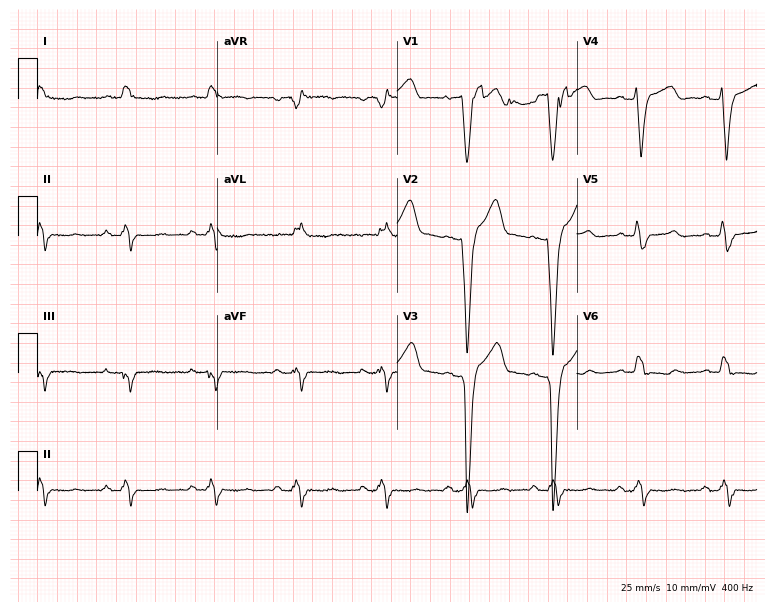
12-lead ECG from a man, 54 years old. Screened for six findings — first-degree AV block, right bundle branch block, left bundle branch block, sinus bradycardia, atrial fibrillation, sinus tachycardia — none is recorded.